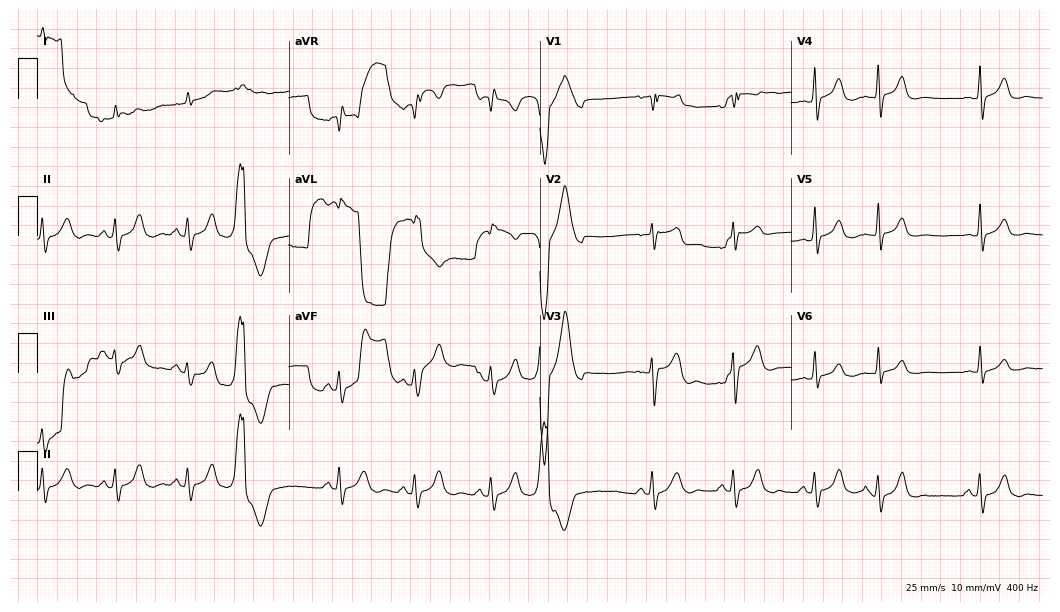
Standard 12-lead ECG recorded from a 75-year-old man. None of these six findings is recorded: first-degree AV block, right bundle branch block, left bundle branch block, sinus bradycardia, atrial fibrillation, sinus tachycardia.